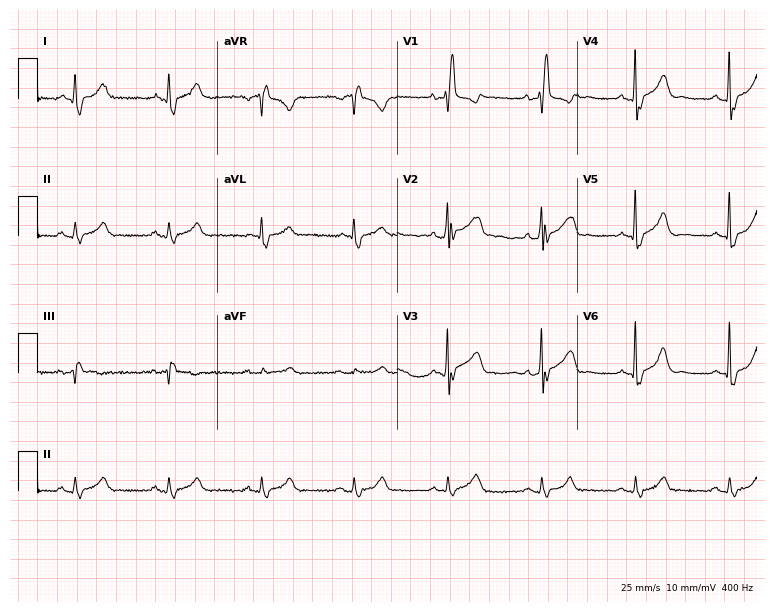
Electrocardiogram (7.3-second recording at 400 Hz), a man, 61 years old. Interpretation includes right bundle branch block (RBBB).